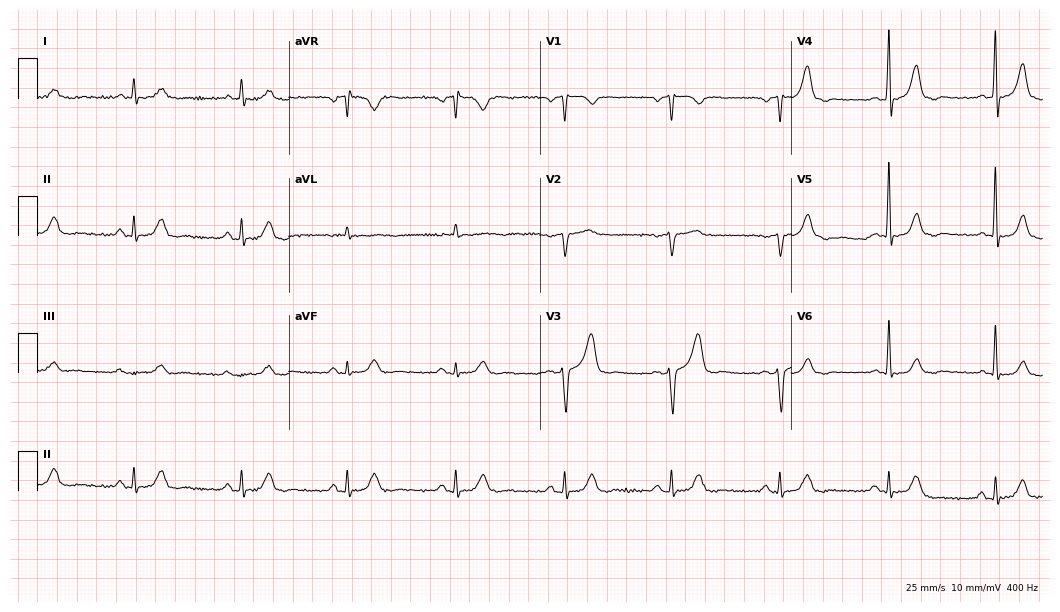
Electrocardiogram (10.2-second recording at 400 Hz), a 70-year-old man. Overall reading on record: normal ECG.